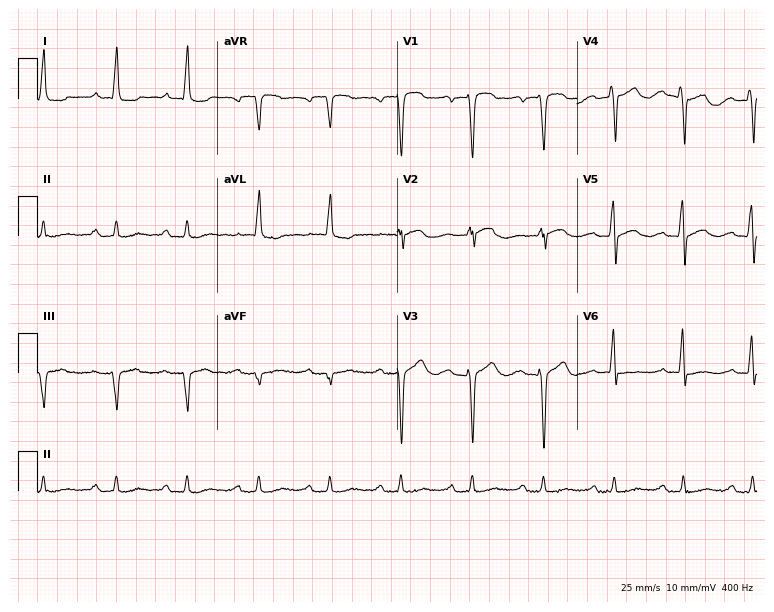
Electrocardiogram (7.3-second recording at 400 Hz), a female, 83 years old. Of the six screened findings (first-degree AV block, right bundle branch block, left bundle branch block, sinus bradycardia, atrial fibrillation, sinus tachycardia), none is recorded. Only these six findings were labelled.